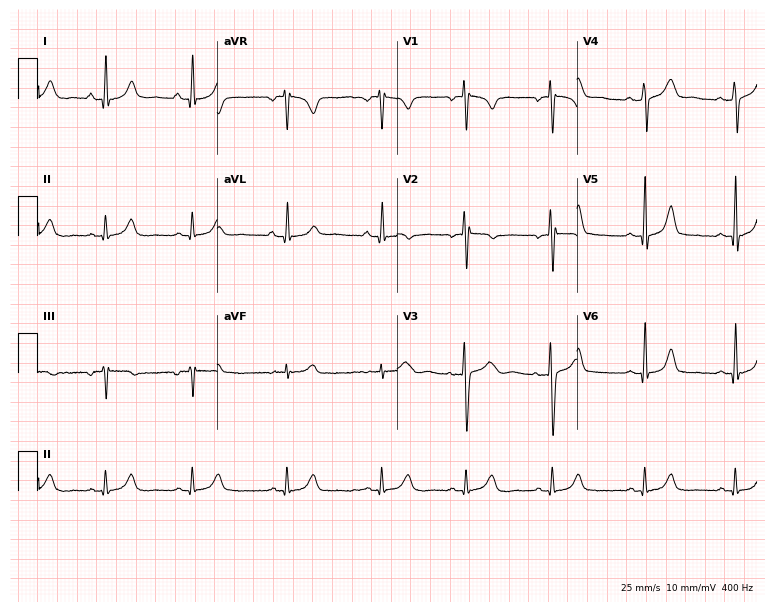
Electrocardiogram (7.3-second recording at 400 Hz), a female patient, 39 years old. Overall reading on record: normal ECG.